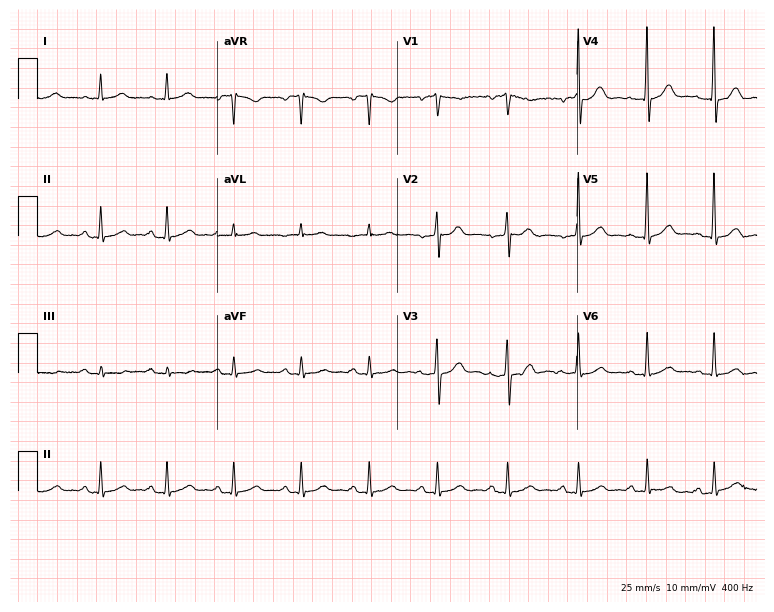
Resting 12-lead electrocardiogram (7.3-second recording at 400 Hz). Patient: a 65-year-old male. Read as a normal ECG.